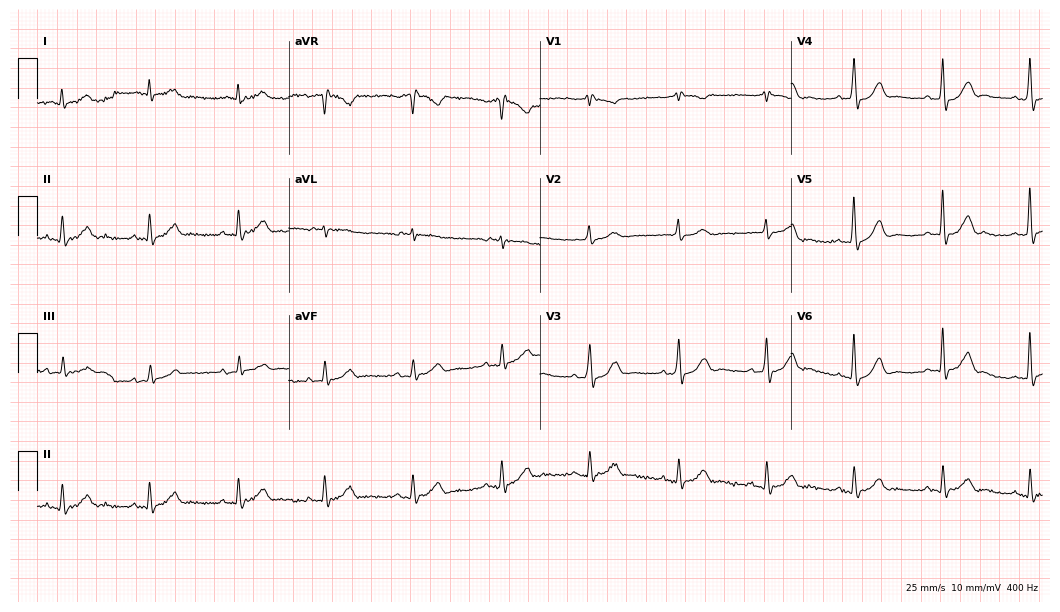
Resting 12-lead electrocardiogram (10.2-second recording at 400 Hz). Patient: a male, 81 years old. Read as a normal ECG.